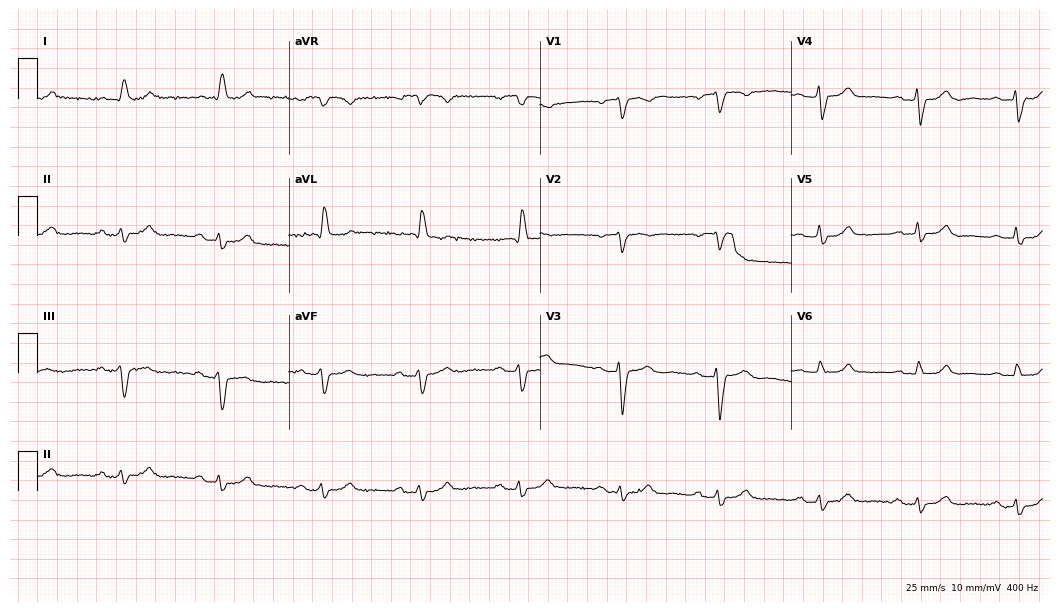
12-lead ECG from a 77-year-old female patient (10.2-second recording at 400 Hz). Shows left bundle branch block (LBBB).